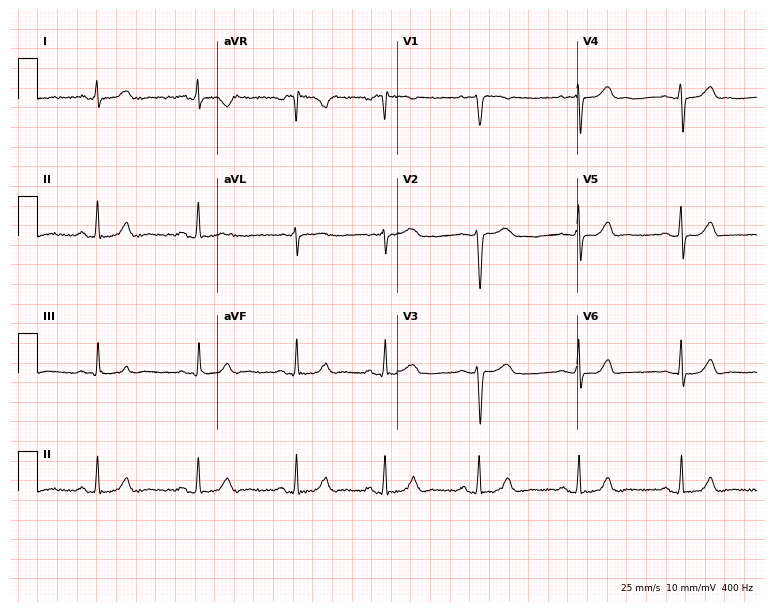
12-lead ECG from a woman, 30 years old (7.3-second recording at 400 Hz). Recorded interpretation: within normal limits.